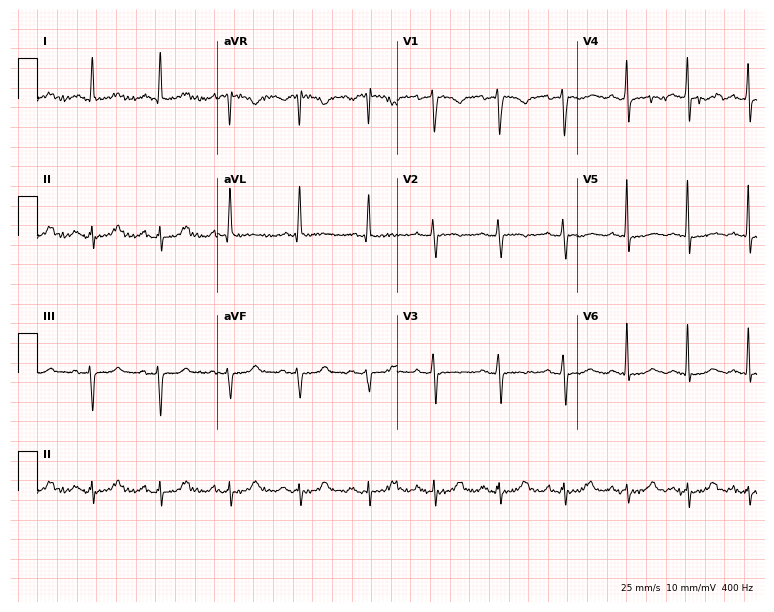
Resting 12-lead electrocardiogram. Patient: a 63-year-old woman. None of these six findings is recorded: first-degree AV block, right bundle branch block, left bundle branch block, sinus bradycardia, atrial fibrillation, sinus tachycardia.